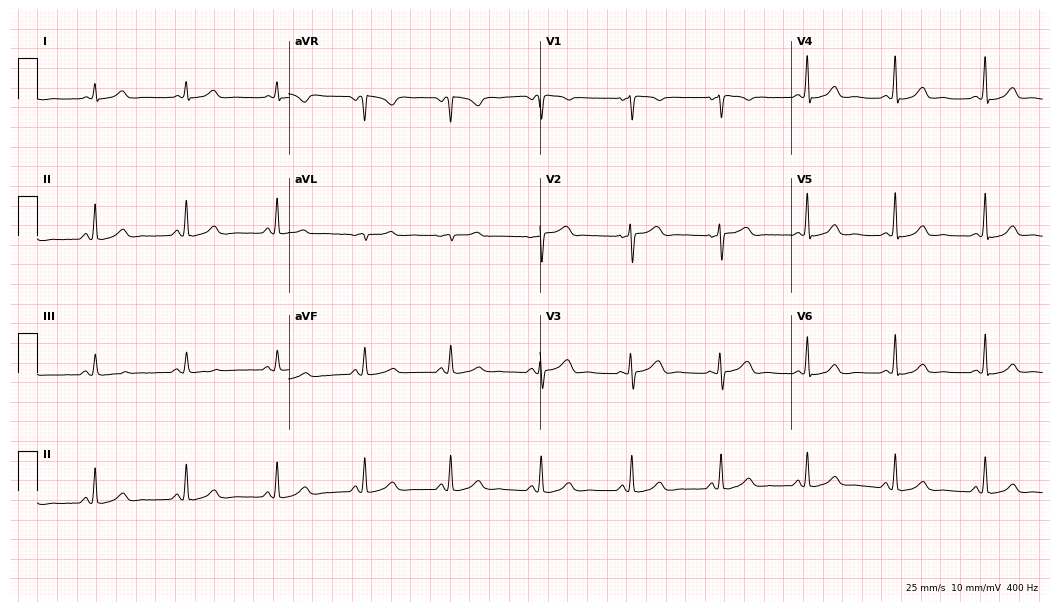
ECG (10.2-second recording at 400 Hz) — a 51-year-old woman. Labelled as a normal ECG.